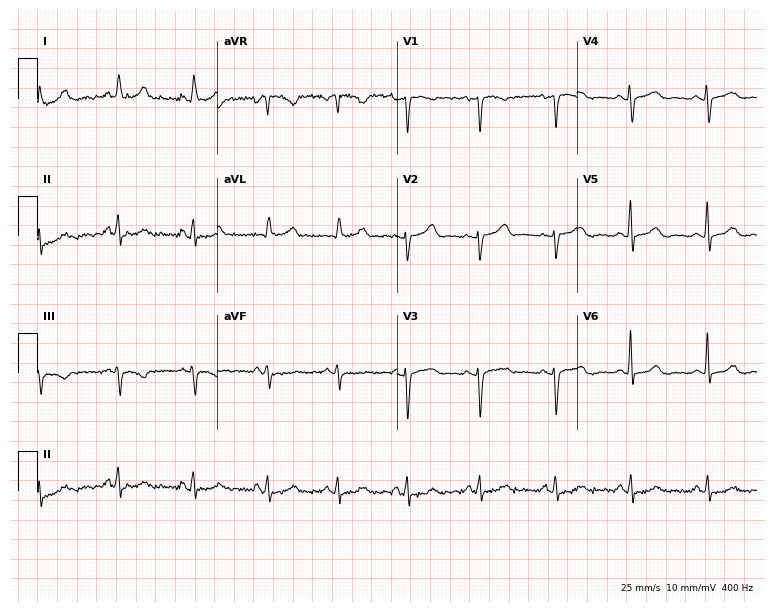
12-lead ECG from a female patient, 61 years old. Recorded interpretation: within normal limits.